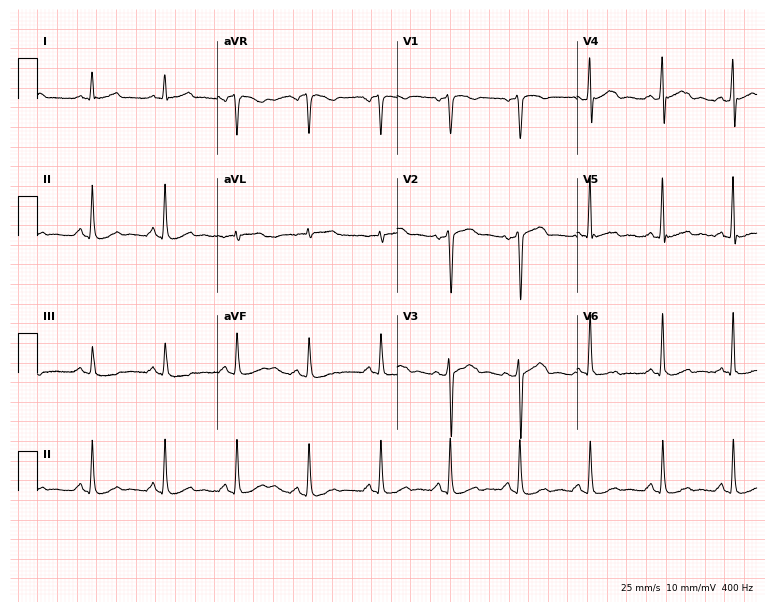
Resting 12-lead electrocardiogram. Patient: a male, 70 years old. Read as a normal ECG.